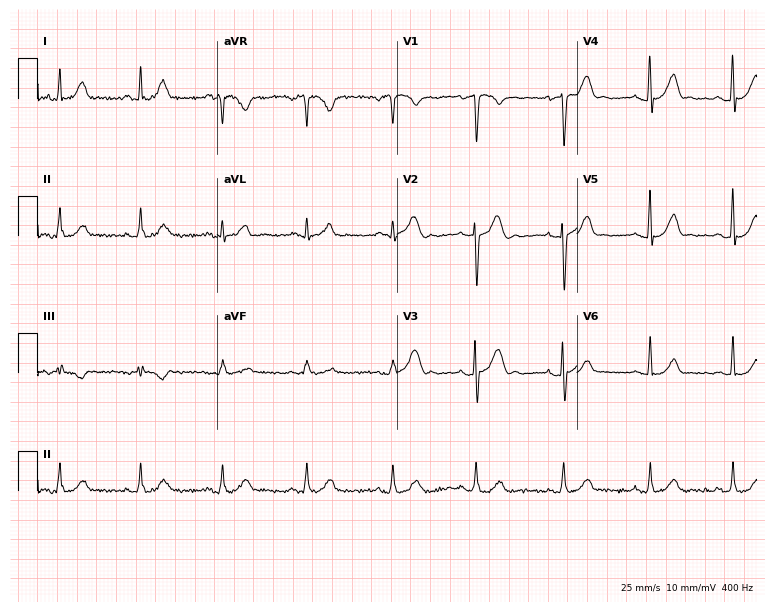
12-lead ECG (7.3-second recording at 400 Hz) from a 26-year-old man. Labelled as a normal ECG.